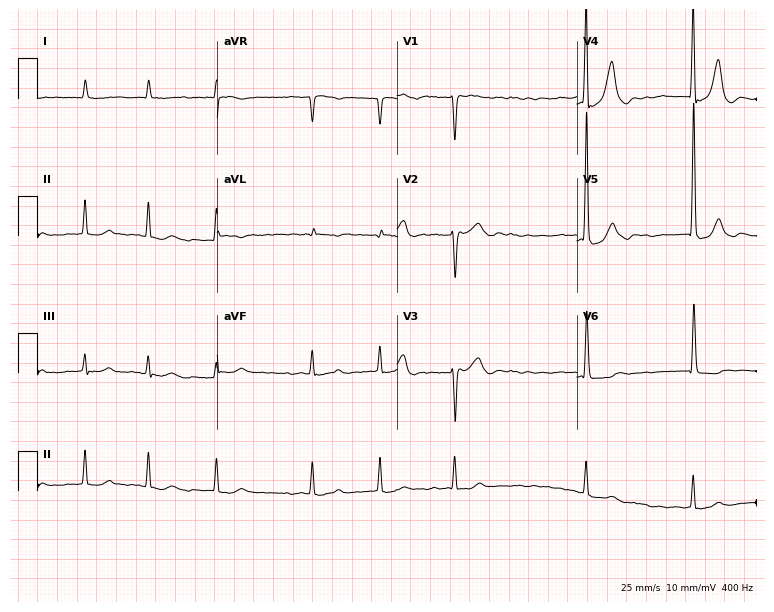
Electrocardiogram (7.3-second recording at 400 Hz), a female, 71 years old. Interpretation includes atrial fibrillation.